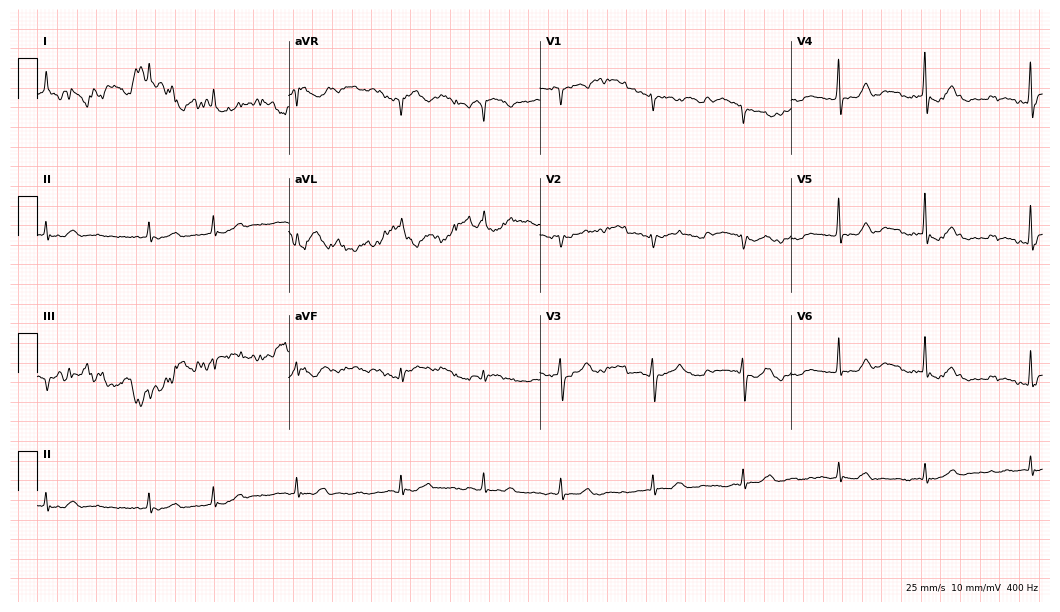
Standard 12-lead ECG recorded from a woman, 75 years old (10.2-second recording at 400 Hz). The tracing shows atrial fibrillation.